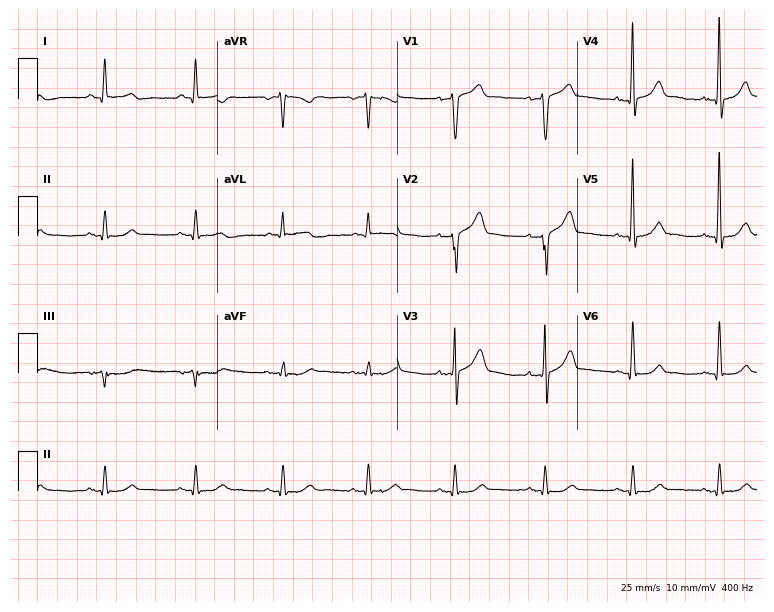
12-lead ECG from a 50-year-old male patient. Recorded interpretation: within normal limits.